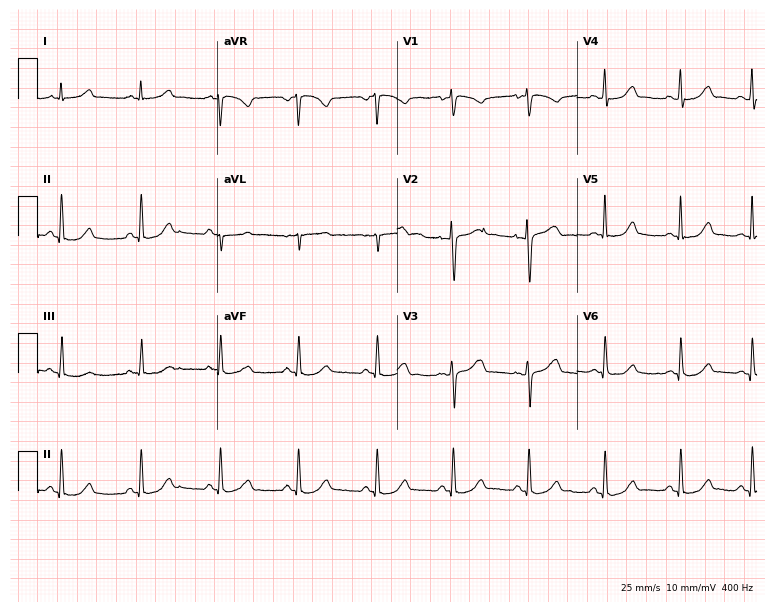
ECG (7.3-second recording at 400 Hz) — a 25-year-old woman. Labelled as a normal ECG.